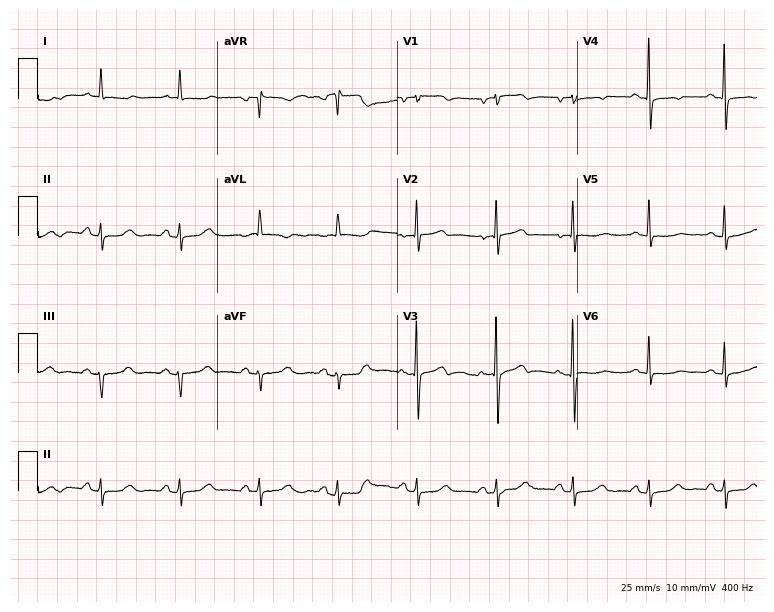
Resting 12-lead electrocardiogram (7.3-second recording at 400 Hz). Patient: a 70-year-old woman. None of these six findings is recorded: first-degree AV block, right bundle branch block, left bundle branch block, sinus bradycardia, atrial fibrillation, sinus tachycardia.